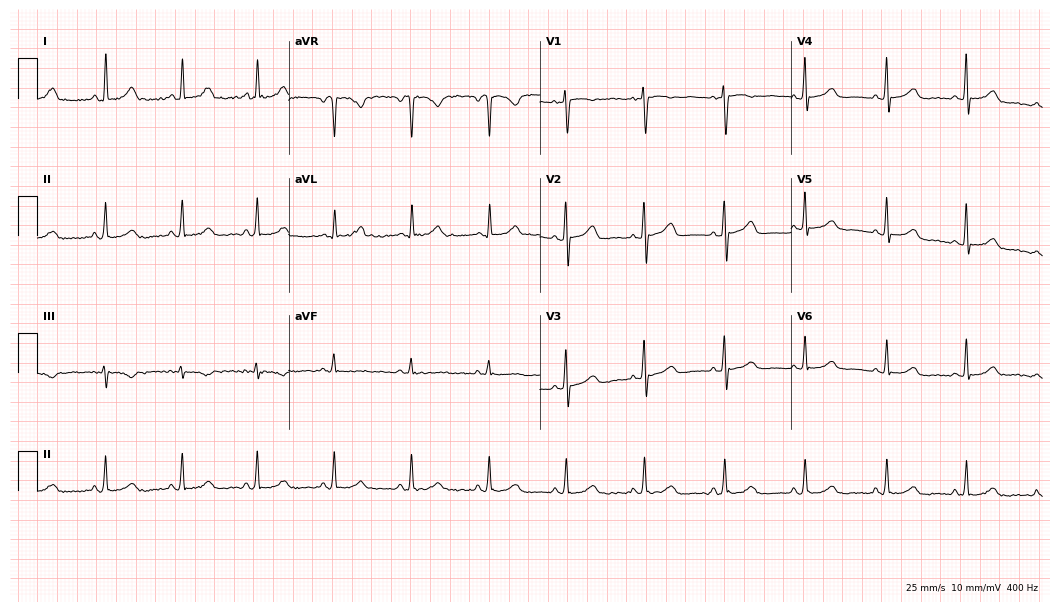
12-lead ECG (10.2-second recording at 400 Hz) from a woman, 52 years old. Labelled as a normal ECG.